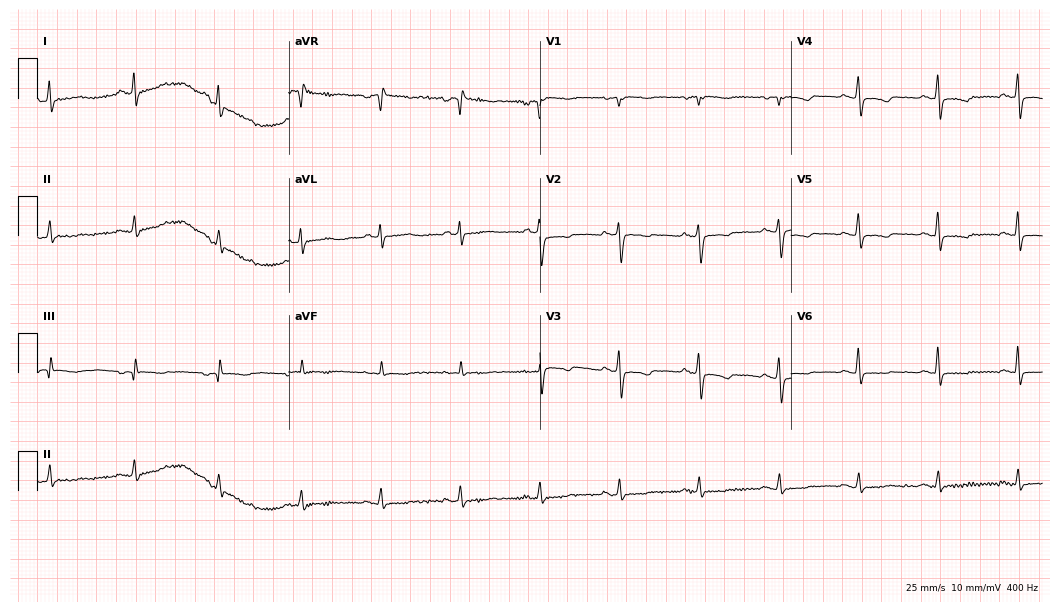
Electrocardiogram (10.2-second recording at 400 Hz), a female patient, 65 years old. Of the six screened findings (first-degree AV block, right bundle branch block, left bundle branch block, sinus bradycardia, atrial fibrillation, sinus tachycardia), none is recorded. Only these six findings were labelled.